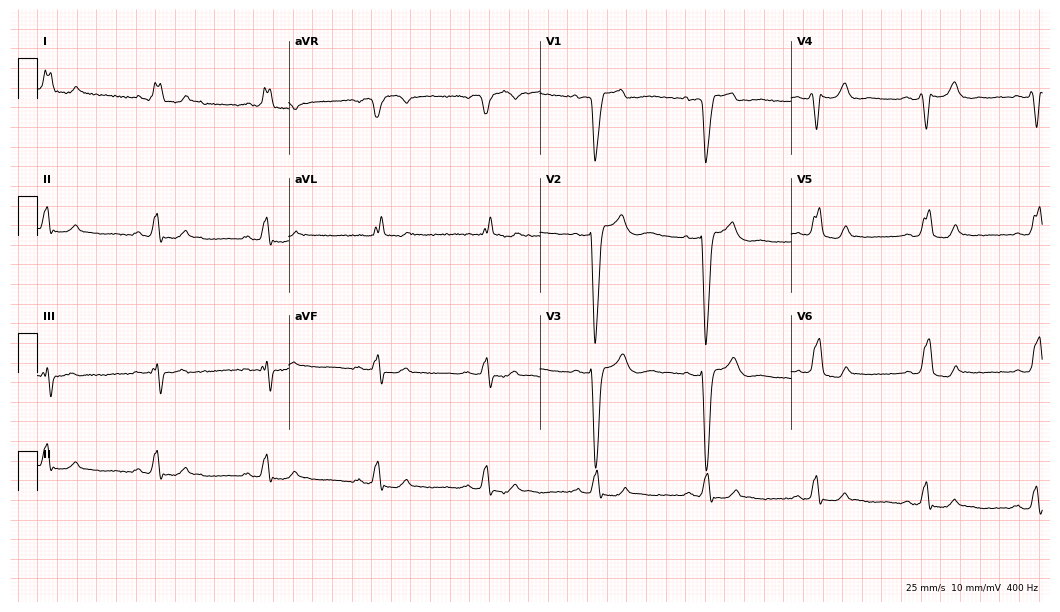
12-lead ECG from a 63-year-old woman (10.2-second recording at 400 Hz). Shows left bundle branch block.